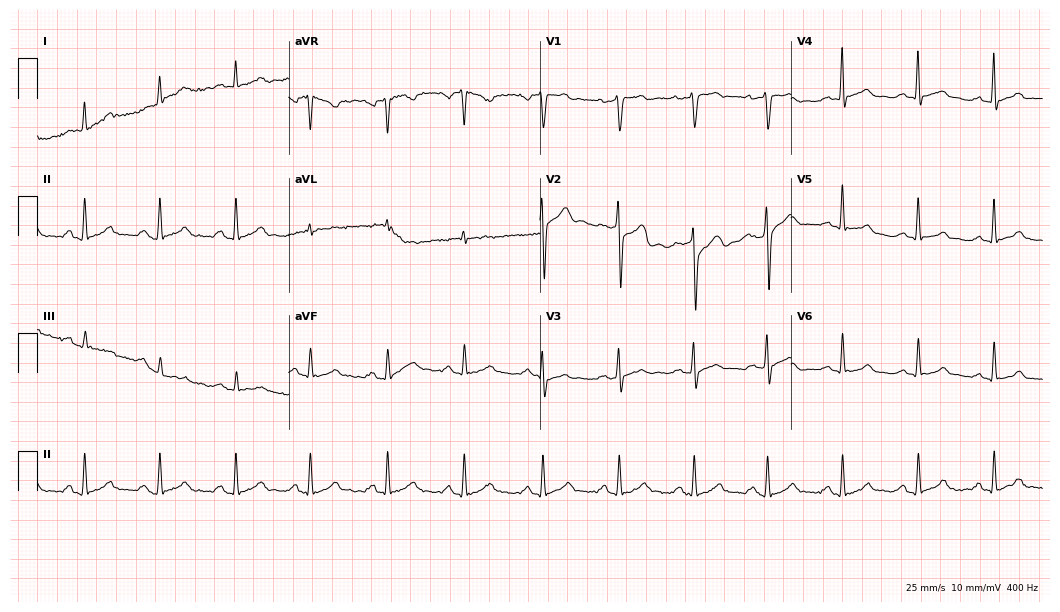
ECG (10.2-second recording at 400 Hz) — a man, 51 years old. Screened for six findings — first-degree AV block, right bundle branch block, left bundle branch block, sinus bradycardia, atrial fibrillation, sinus tachycardia — none is recorded. Findings outside these six are not listed.